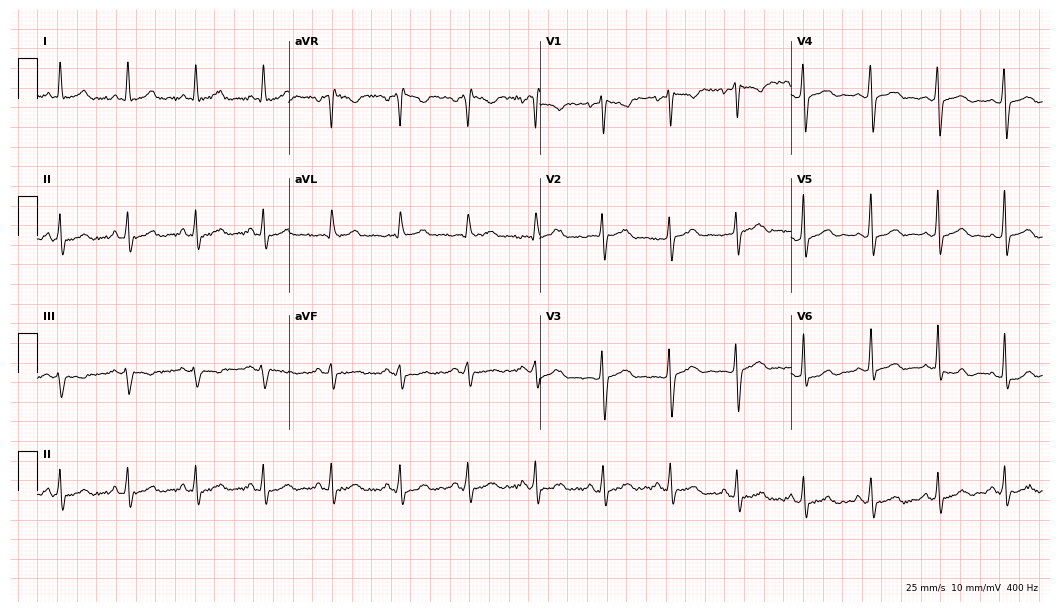
ECG (10.2-second recording at 400 Hz) — a man, 50 years old. Labelled as a normal ECG.